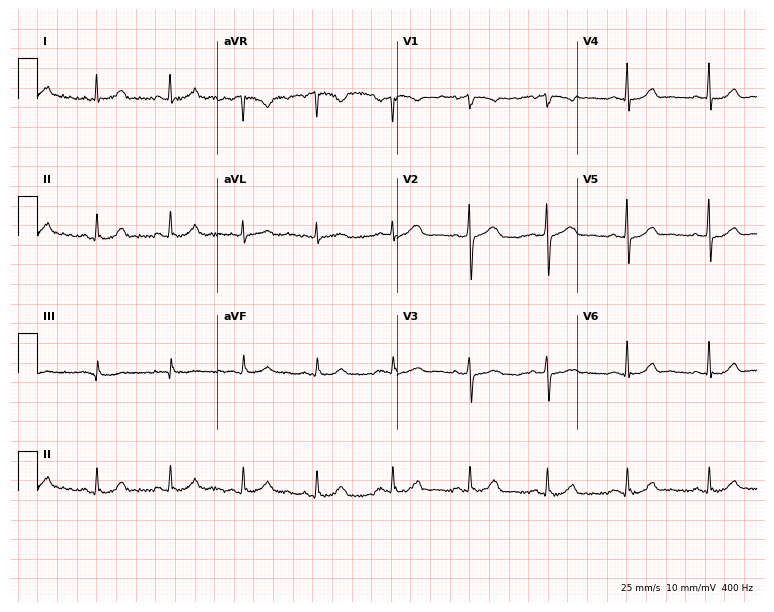
Standard 12-lead ECG recorded from a 64-year-old woman. Read as a normal ECG.